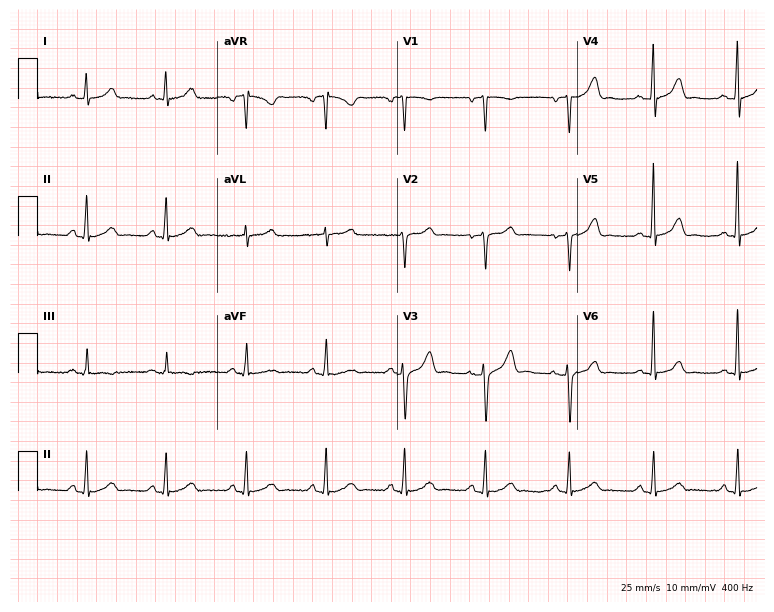
12-lead ECG (7.3-second recording at 400 Hz) from a 60-year-old man. Screened for six findings — first-degree AV block, right bundle branch block, left bundle branch block, sinus bradycardia, atrial fibrillation, sinus tachycardia — none is recorded.